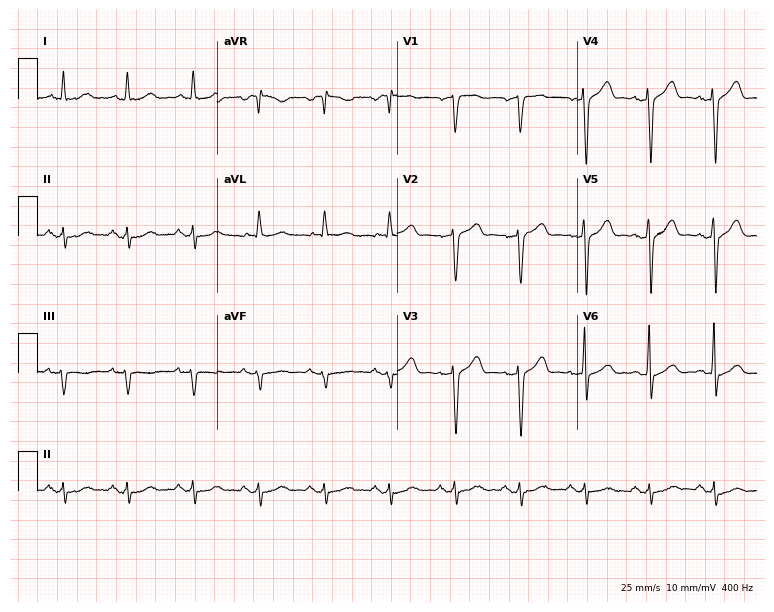
ECG — a 61-year-old male patient. Screened for six findings — first-degree AV block, right bundle branch block, left bundle branch block, sinus bradycardia, atrial fibrillation, sinus tachycardia — none is recorded. Other findings, if any, are not listed.